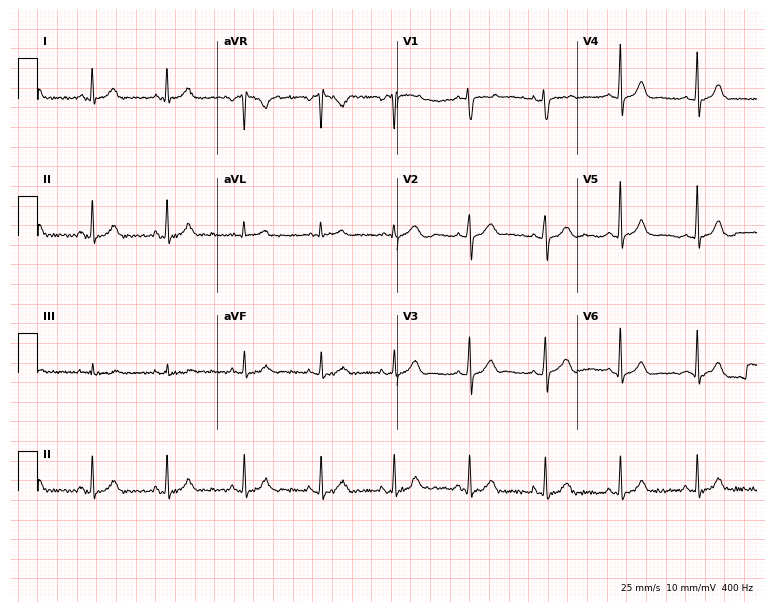
12-lead ECG from a 25-year-old woman. Screened for six findings — first-degree AV block, right bundle branch block, left bundle branch block, sinus bradycardia, atrial fibrillation, sinus tachycardia — none is recorded. Findings outside these six are not listed.